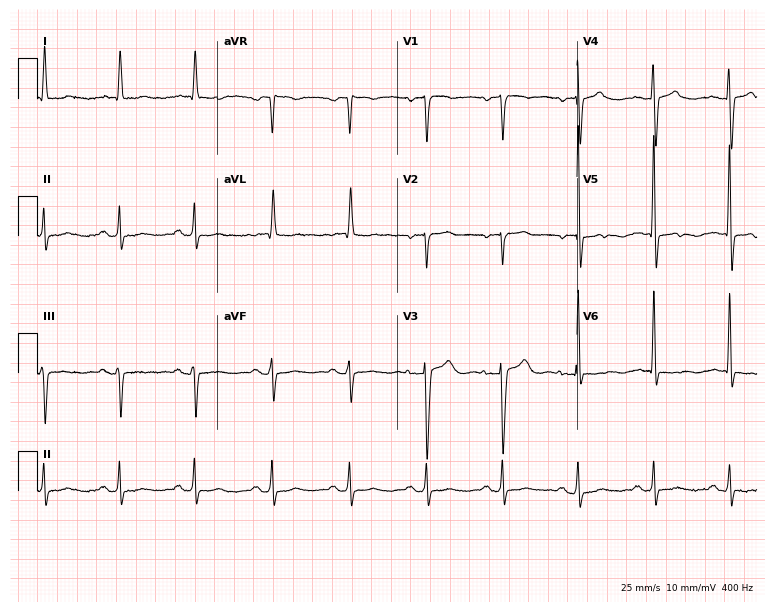
Resting 12-lead electrocardiogram. Patient: a female, 71 years old. None of these six findings is recorded: first-degree AV block, right bundle branch block (RBBB), left bundle branch block (LBBB), sinus bradycardia, atrial fibrillation (AF), sinus tachycardia.